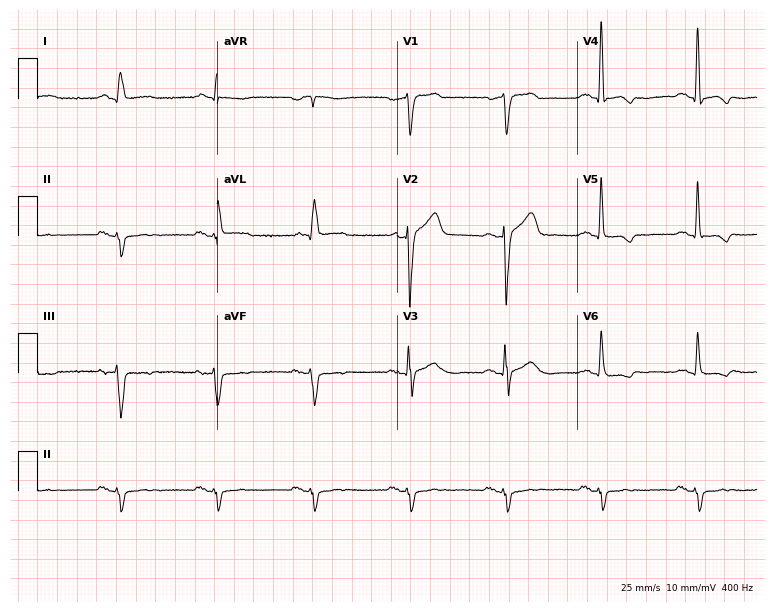
Resting 12-lead electrocardiogram (7.3-second recording at 400 Hz). Patient: a 72-year-old man. None of these six findings is recorded: first-degree AV block, right bundle branch block, left bundle branch block, sinus bradycardia, atrial fibrillation, sinus tachycardia.